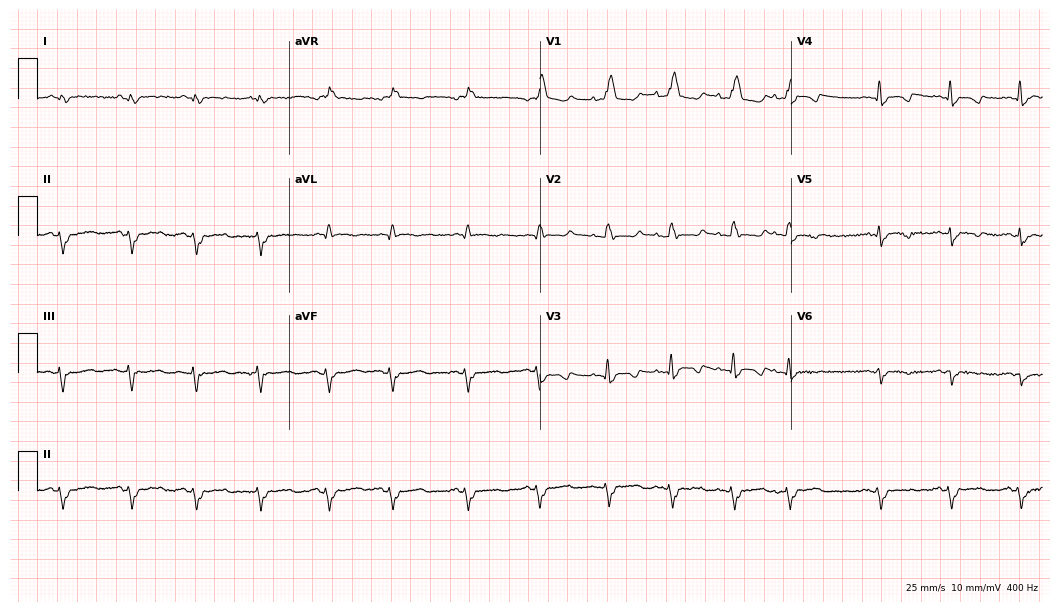
12-lead ECG (10.2-second recording at 400 Hz) from a man, 74 years old. Screened for six findings — first-degree AV block, right bundle branch block (RBBB), left bundle branch block (LBBB), sinus bradycardia, atrial fibrillation (AF), sinus tachycardia — none is recorded. Only these six findings were labelled.